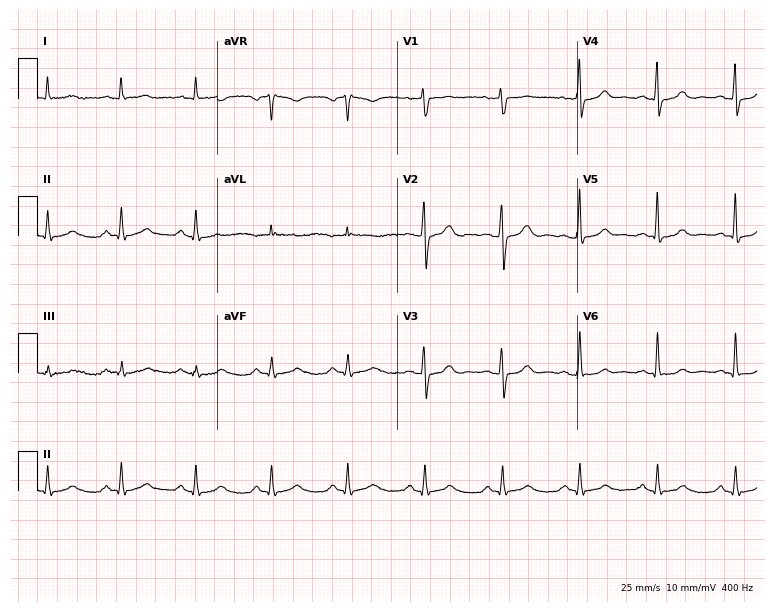
Electrocardiogram (7.3-second recording at 400 Hz), a man, 65 years old. Of the six screened findings (first-degree AV block, right bundle branch block (RBBB), left bundle branch block (LBBB), sinus bradycardia, atrial fibrillation (AF), sinus tachycardia), none is recorded. Only these six findings were labelled.